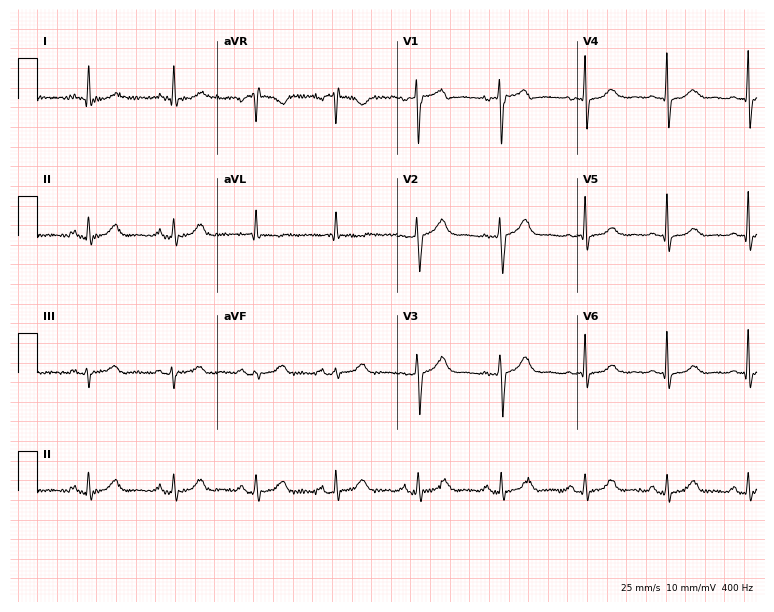
Electrocardiogram, a 47-year-old woman. Overall reading on record: normal ECG.